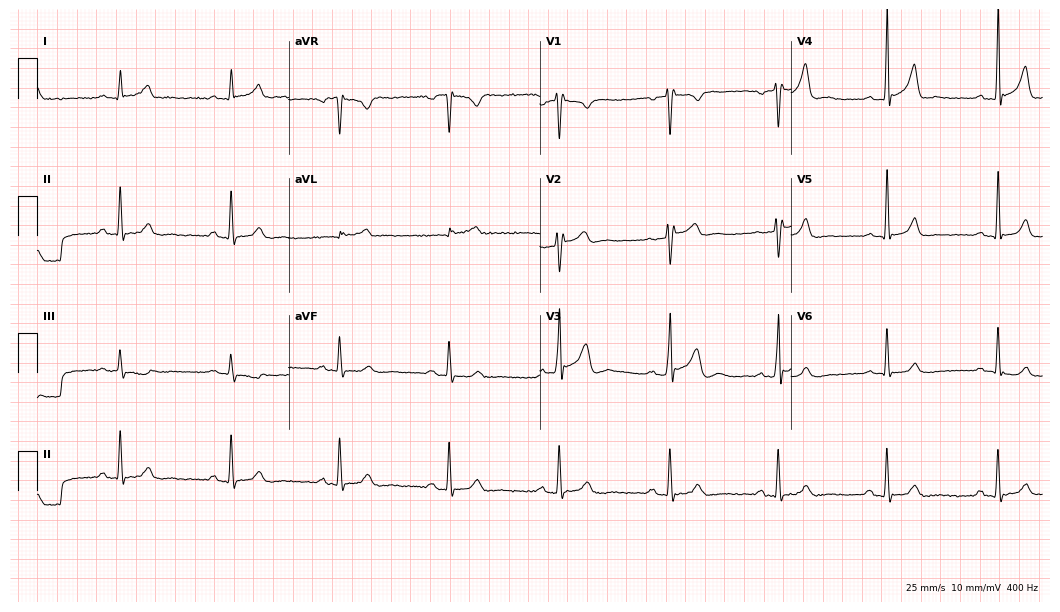
12-lead ECG from a male, 49 years old (10.2-second recording at 400 Hz). No first-degree AV block, right bundle branch block, left bundle branch block, sinus bradycardia, atrial fibrillation or sinus tachycardia recorded for this tracing.